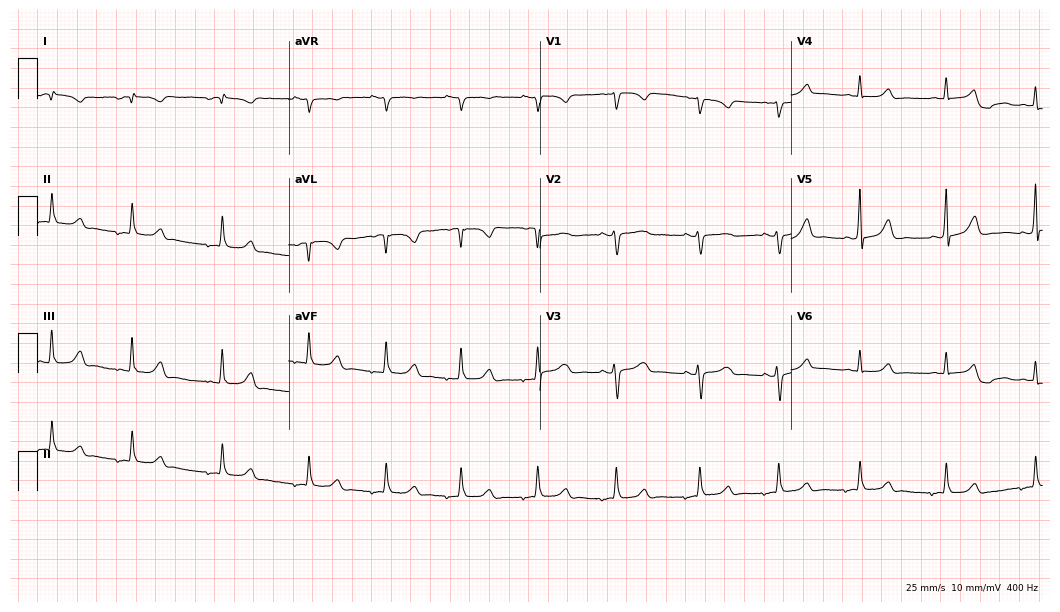
12-lead ECG from a 17-year-old female patient. Screened for six findings — first-degree AV block, right bundle branch block, left bundle branch block, sinus bradycardia, atrial fibrillation, sinus tachycardia — none is recorded. Other findings, if any, are not listed.